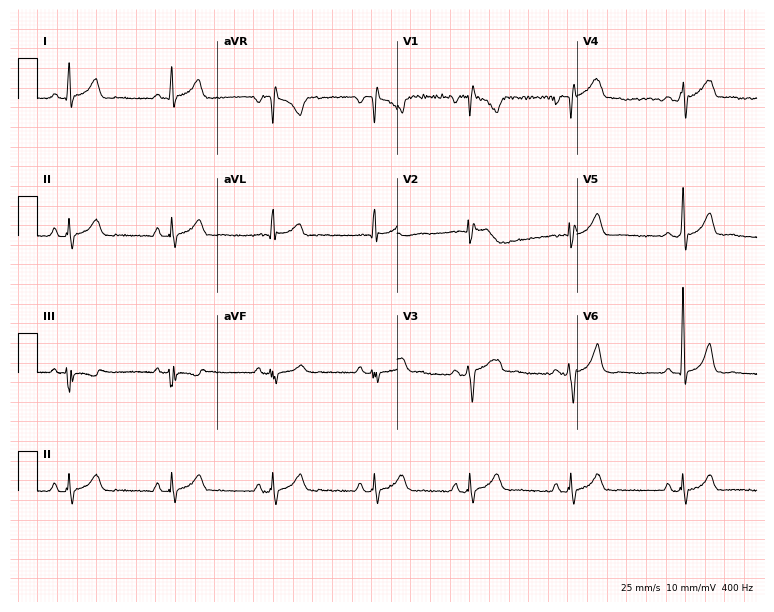
ECG — a 22-year-old male. Screened for six findings — first-degree AV block, right bundle branch block (RBBB), left bundle branch block (LBBB), sinus bradycardia, atrial fibrillation (AF), sinus tachycardia — none is recorded. Only these six findings were labelled.